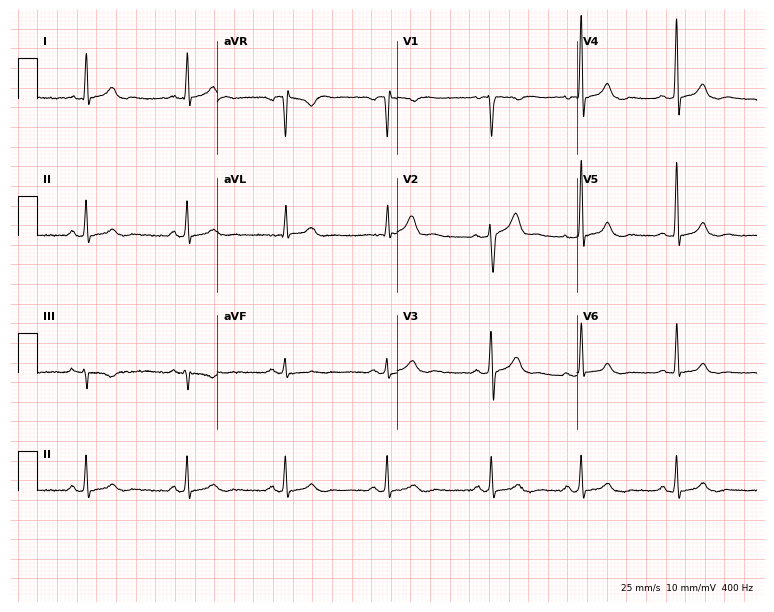
12-lead ECG from a male patient, 37 years old (7.3-second recording at 400 Hz). Recorded interpretation: within normal limits.